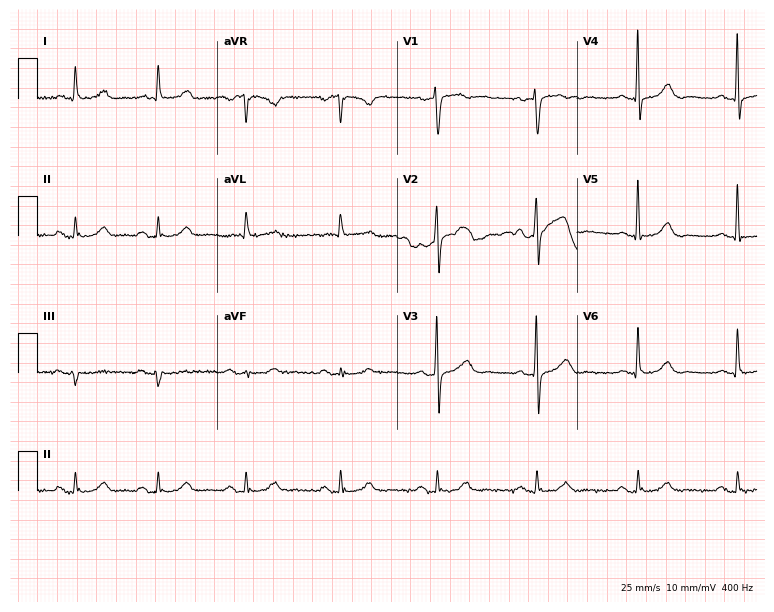
12-lead ECG (7.3-second recording at 400 Hz) from a 62-year-old man. Screened for six findings — first-degree AV block, right bundle branch block, left bundle branch block, sinus bradycardia, atrial fibrillation, sinus tachycardia — none is recorded.